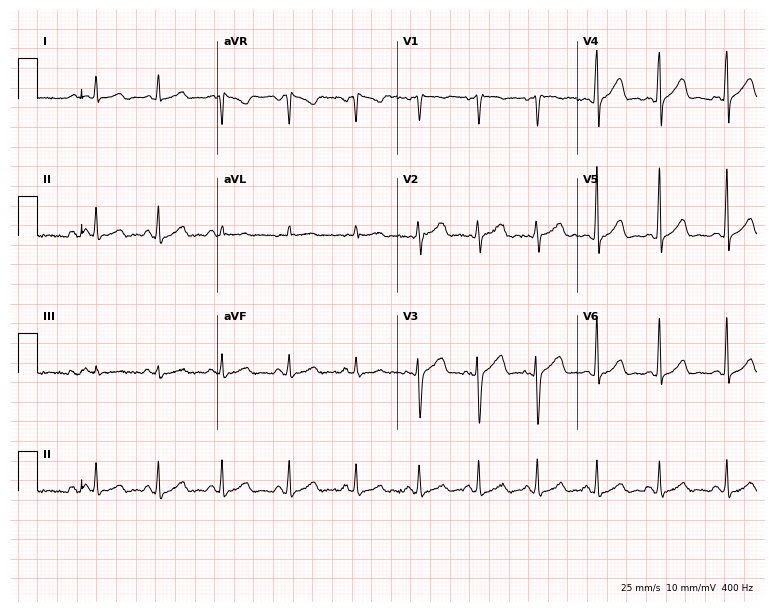
ECG (7.3-second recording at 400 Hz) — a woman, 44 years old. Labelled as a normal ECG.